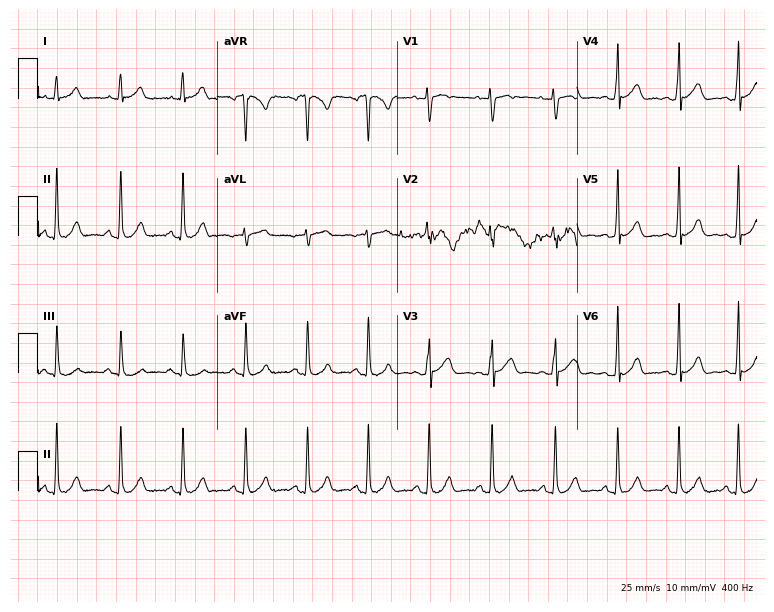
ECG — a 22-year-old woman. Labelled as a normal ECG.